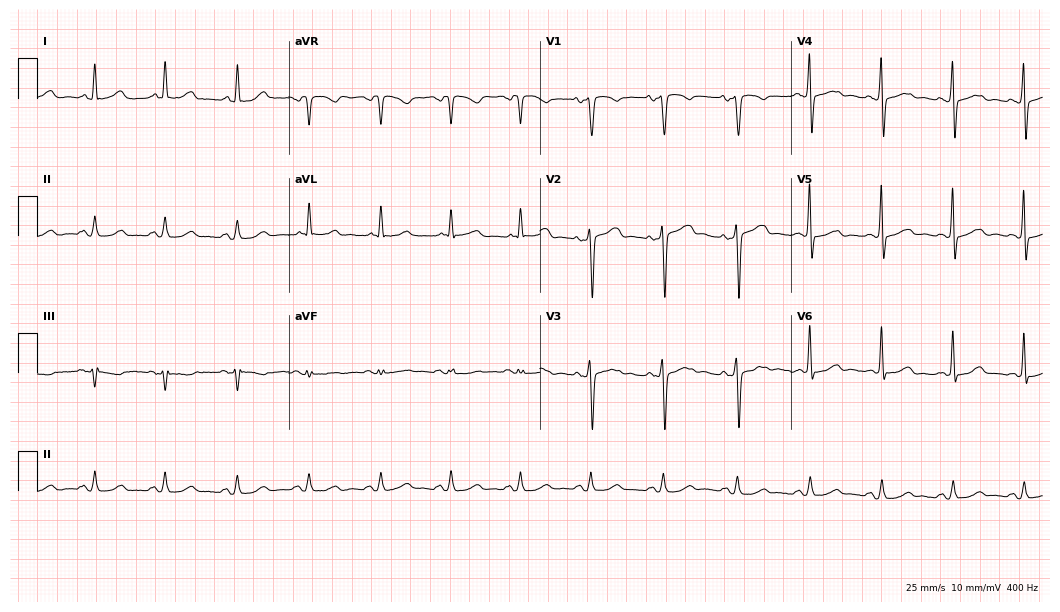
12-lead ECG from a male patient, 84 years old. Labelled as a normal ECG.